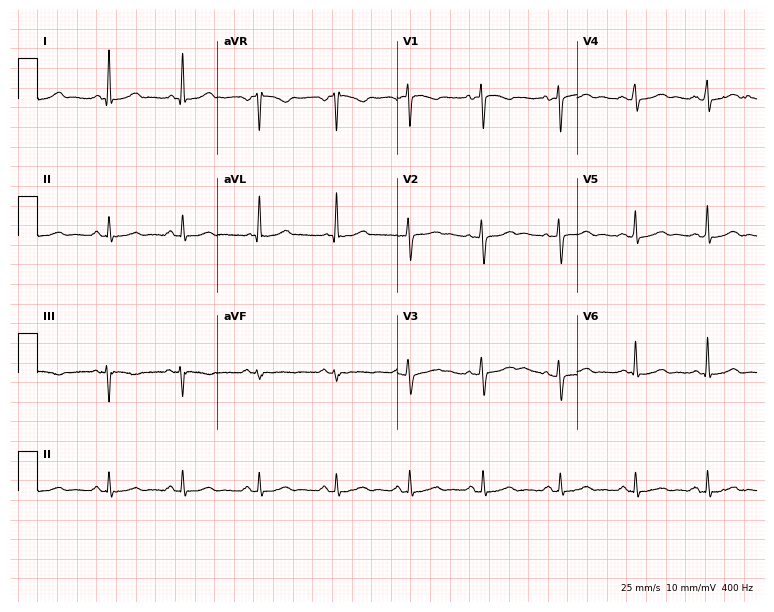
Standard 12-lead ECG recorded from a female patient, 41 years old (7.3-second recording at 400 Hz). None of these six findings is recorded: first-degree AV block, right bundle branch block (RBBB), left bundle branch block (LBBB), sinus bradycardia, atrial fibrillation (AF), sinus tachycardia.